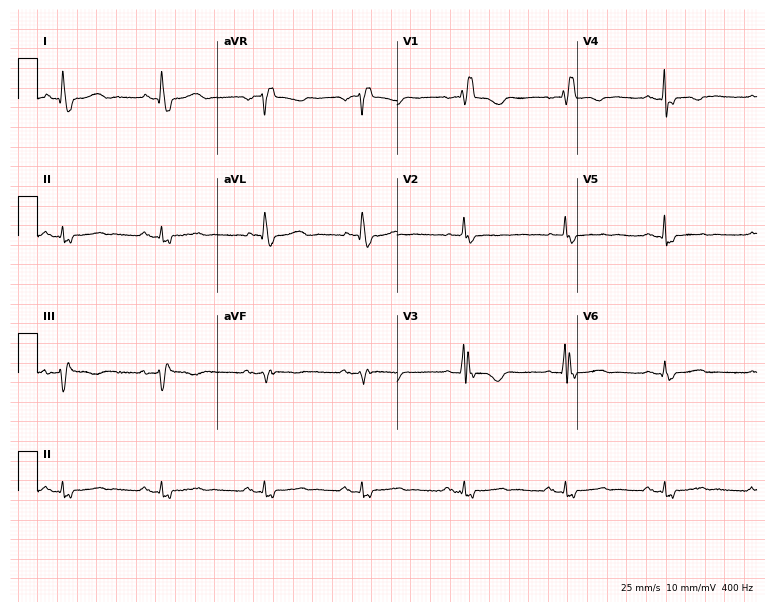
Standard 12-lead ECG recorded from an 81-year-old female patient (7.3-second recording at 400 Hz). The tracing shows right bundle branch block.